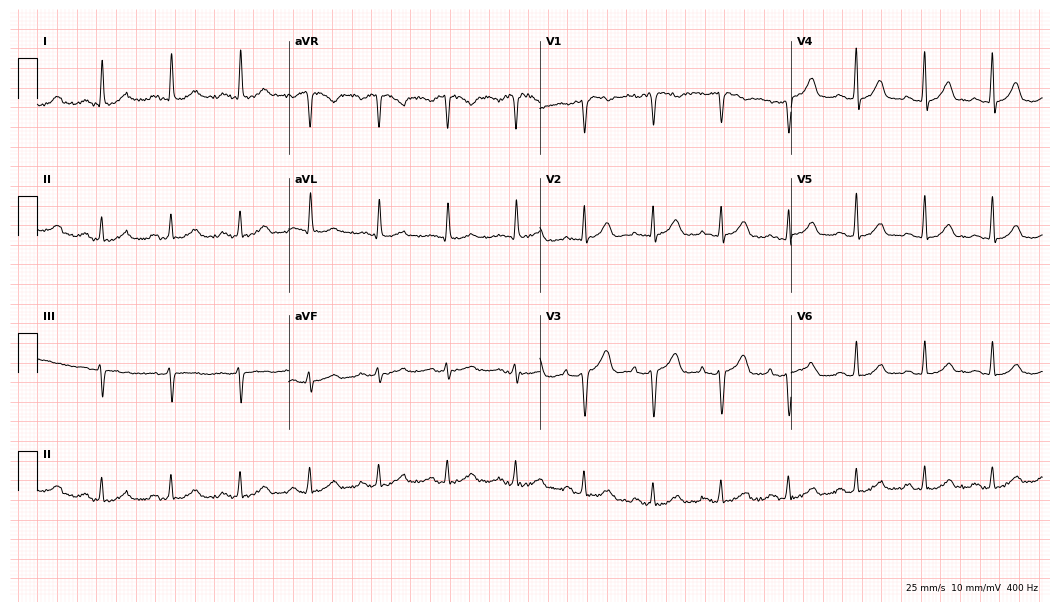
ECG — a female, 42 years old. Labelled as a normal ECG.